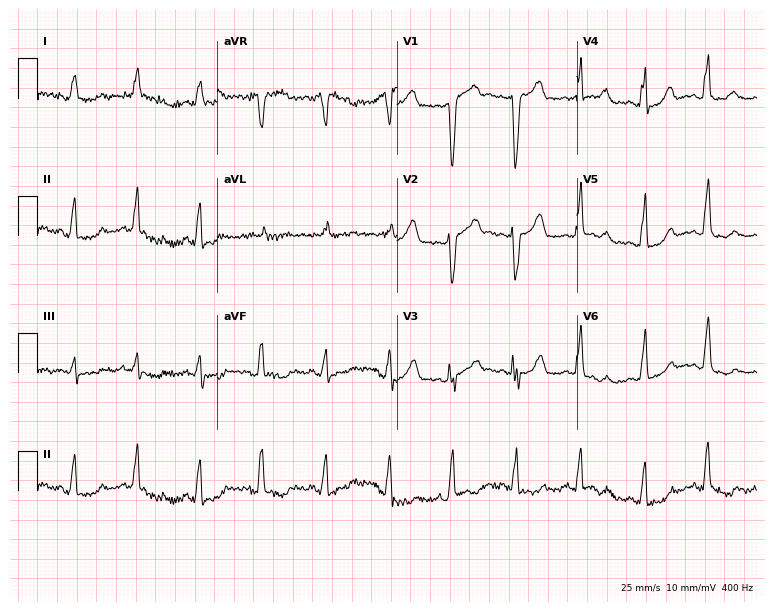
Standard 12-lead ECG recorded from an 82-year-old female patient. None of these six findings is recorded: first-degree AV block, right bundle branch block, left bundle branch block, sinus bradycardia, atrial fibrillation, sinus tachycardia.